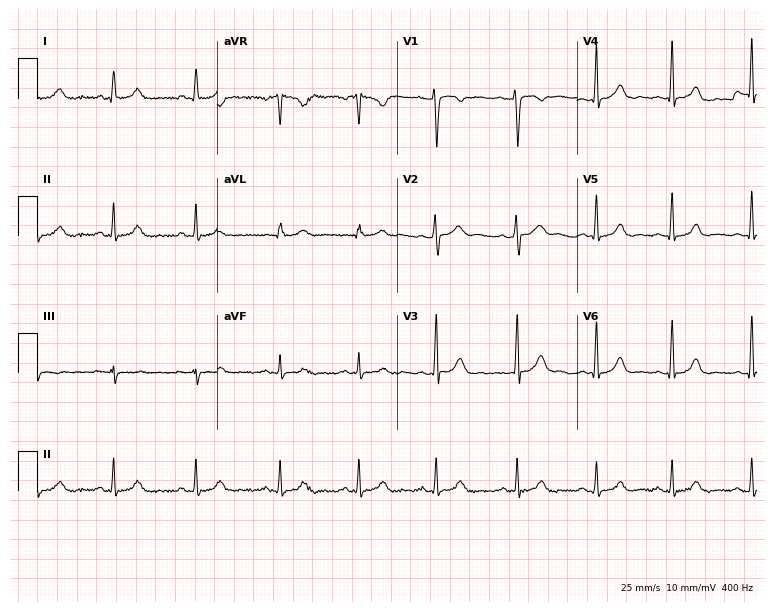
12-lead ECG from a female patient, 24 years old. No first-degree AV block, right bundle branch block, left bundle branch block, sinus bradycardia, atrial fibrillation or sinus tachycardia recorded for this tracing.